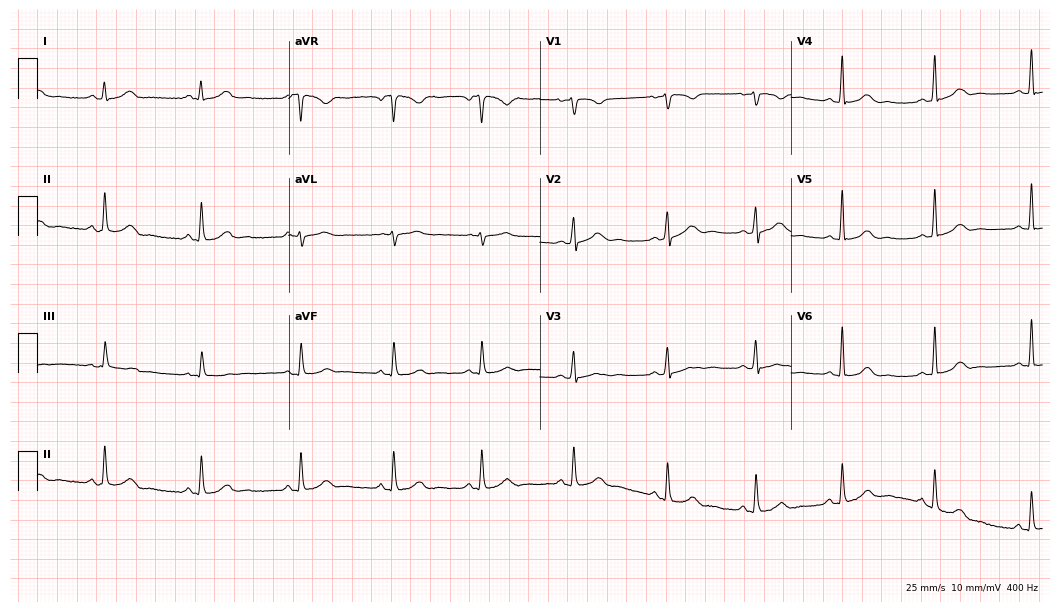
12-lead ECG from a 43-year-old woman (10.2-second recording at 400 Hz). Recorded interpretation: within normal limits.